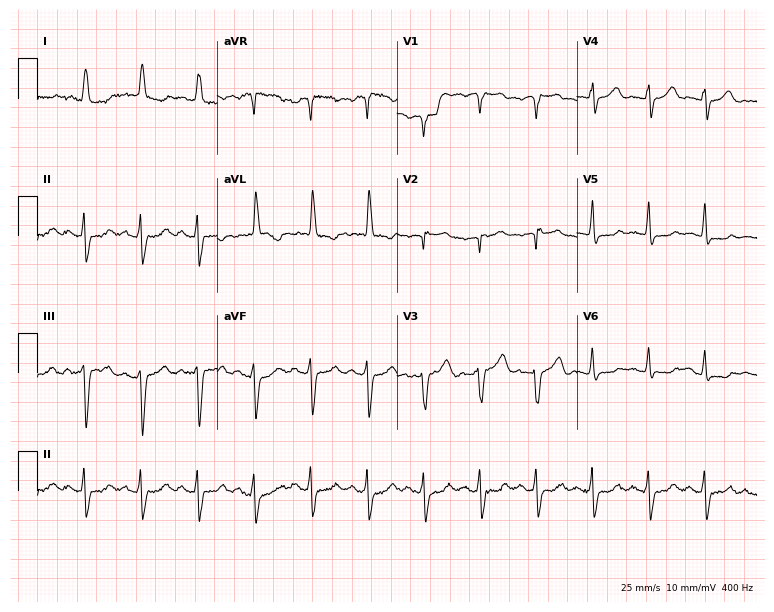
Resting 12-lead electrocardiogram (7.3-second recording at 400 Hz). Patient: a female, 70 years old. The tracing shows sinus tachycardia (a sinus rate of 100 beats per minute or more).